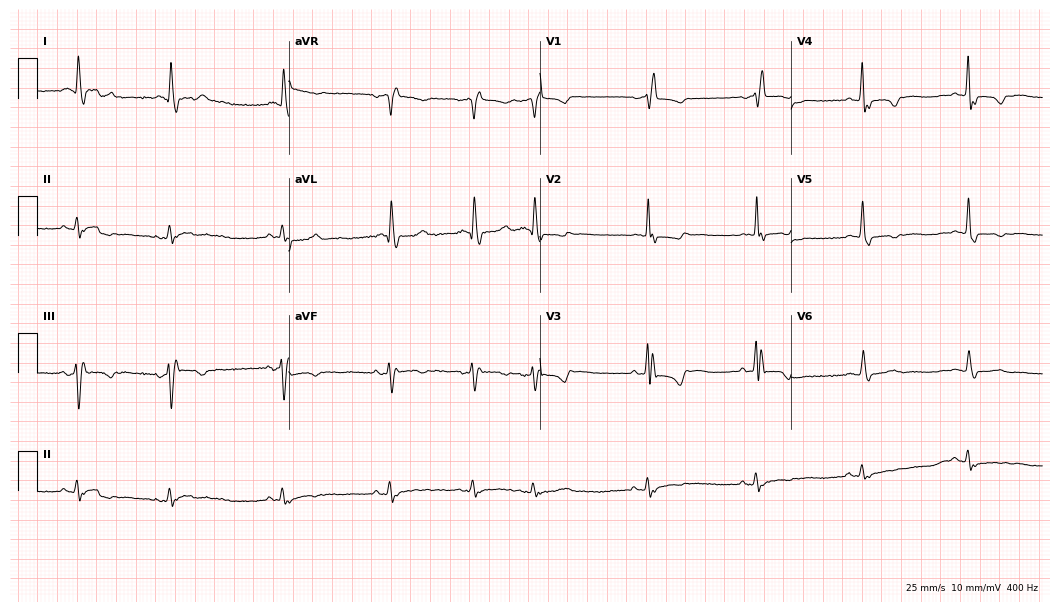
Resting 12-lead electrocardiogram. Patient: an 83-year-old female. The tracing shows right bundle branch block (RBBB).